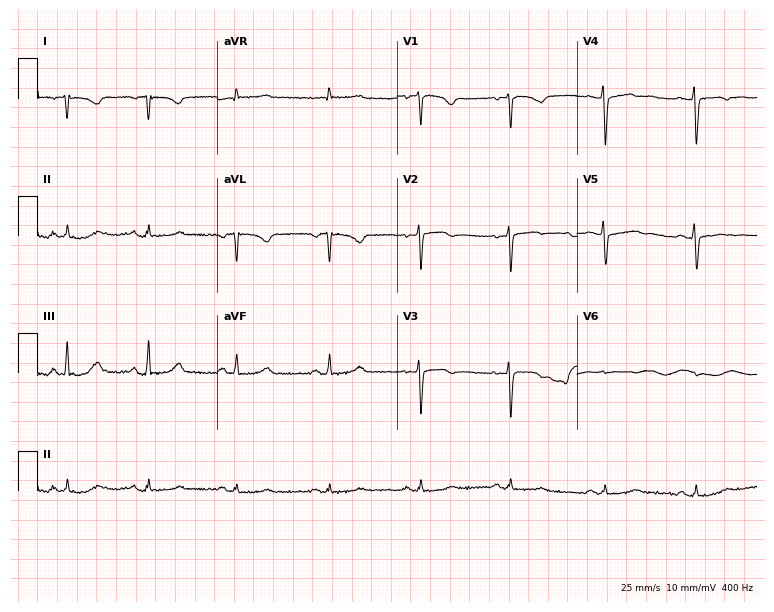
Electrocardiogram, a female, 32 years old. Of the six screened findings (first-degree AV block, right bundle branch block, left bundle branch block, sinus bradycardia, atrial fibrillation, sinus tachycardia), none is recorded.